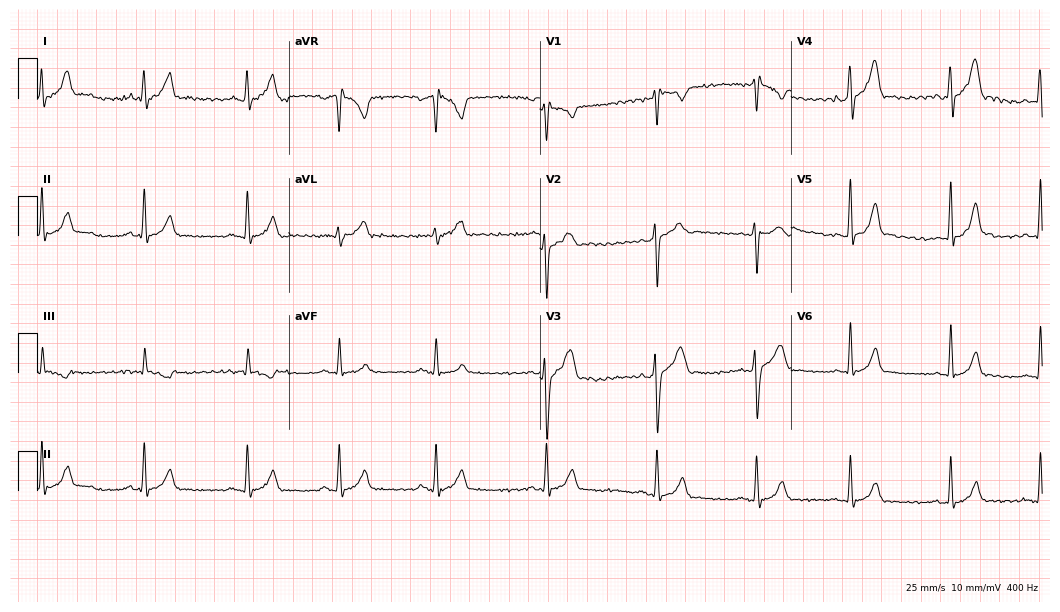
Standard 12-lead ECG recorded from a male, 24 years old. Read as a normal ECG.